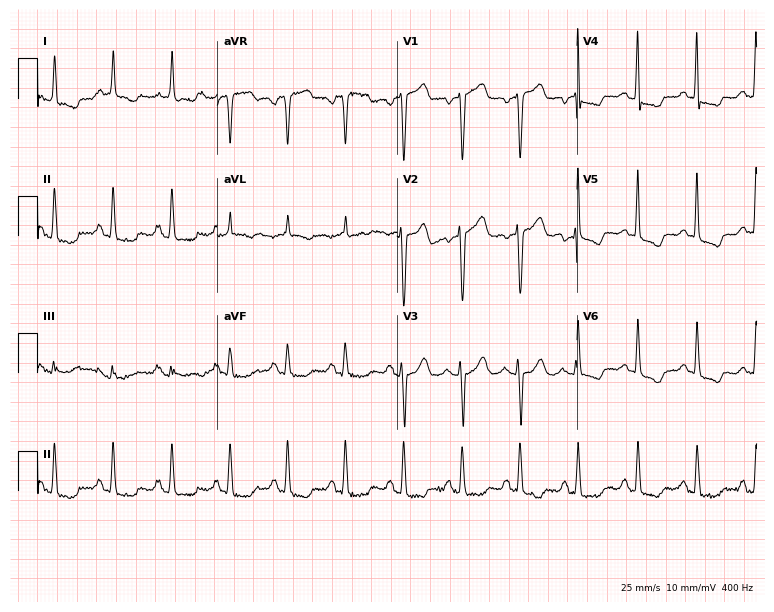
12-lead ECG from an 84-year-old female. Findings include sinus tachycardia (a sinus rate of 100 beats per minute or more).